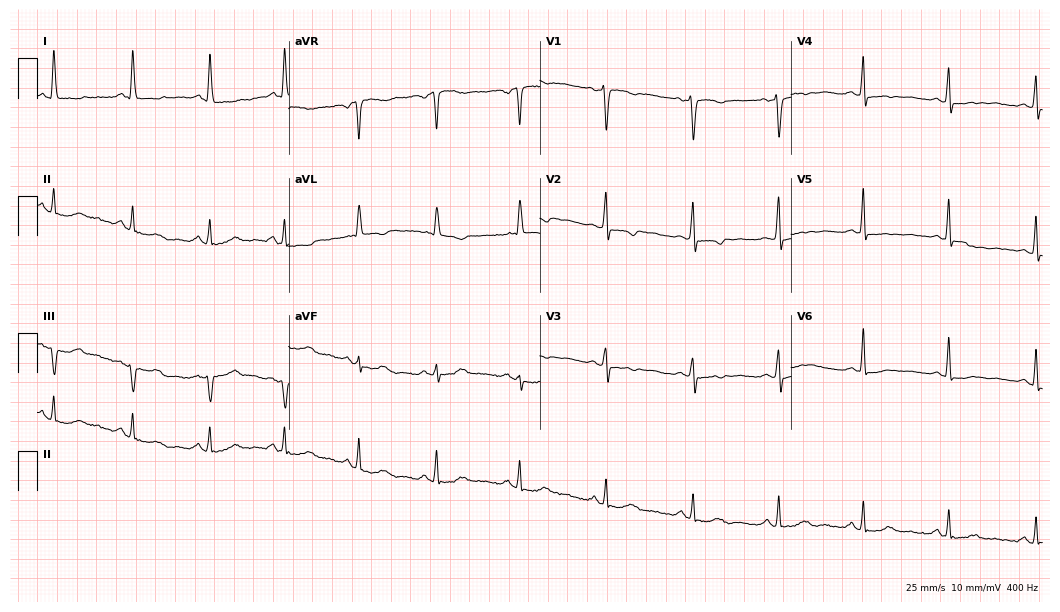
12-lead ECG from a female patient, 55 years old. Screened for six findings — first-degree AV block, right bundle branch block, left bundle branch block, sinus bradycardia, atrial fibrillation, sinus tachycardia — none is recorded.